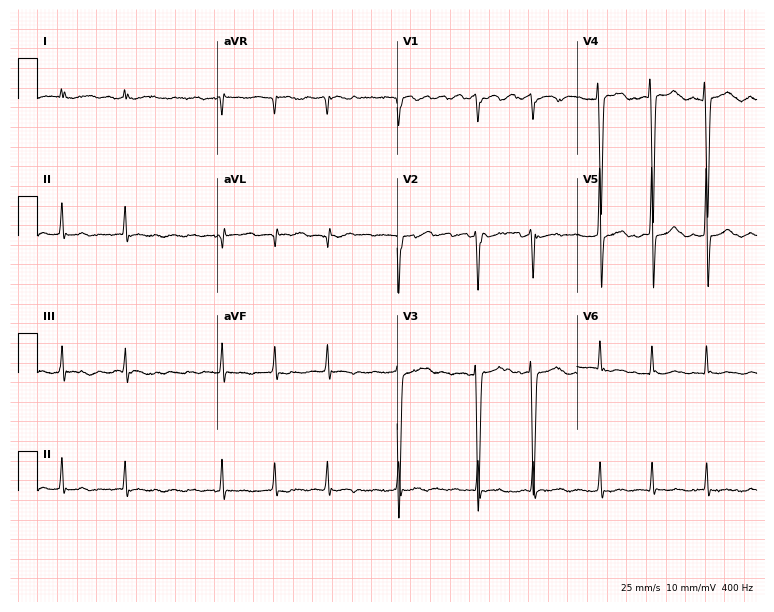
Electrocardiogram, a female, 48 years old. Interpretation includes atrial fibrillation (AF).